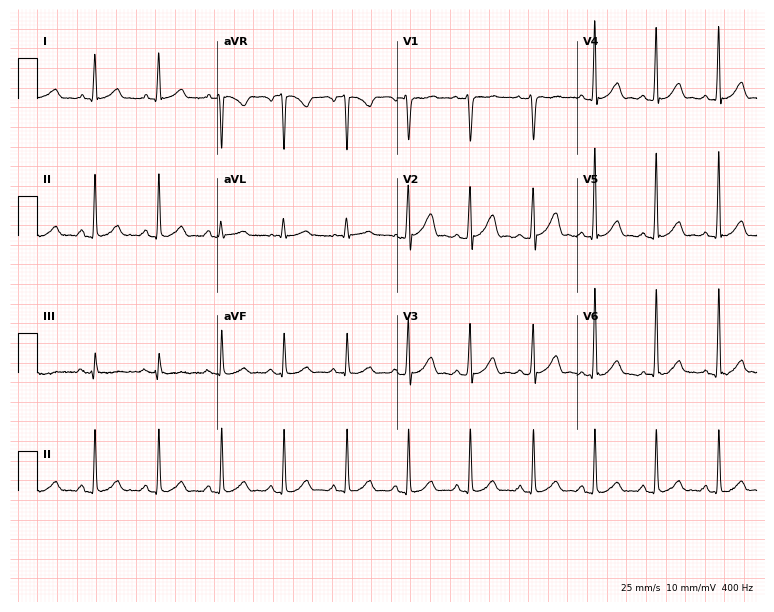
Electrocardiogram, a 38-year-old man. Overall reading on record: normal ECG.